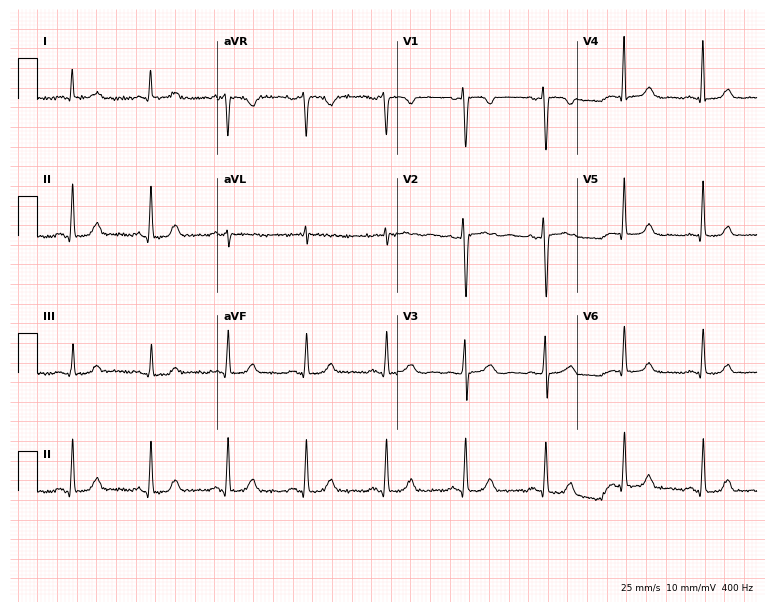
12-lead ECG from a 55-year-old female. Recorded interpretation: within normal limits.